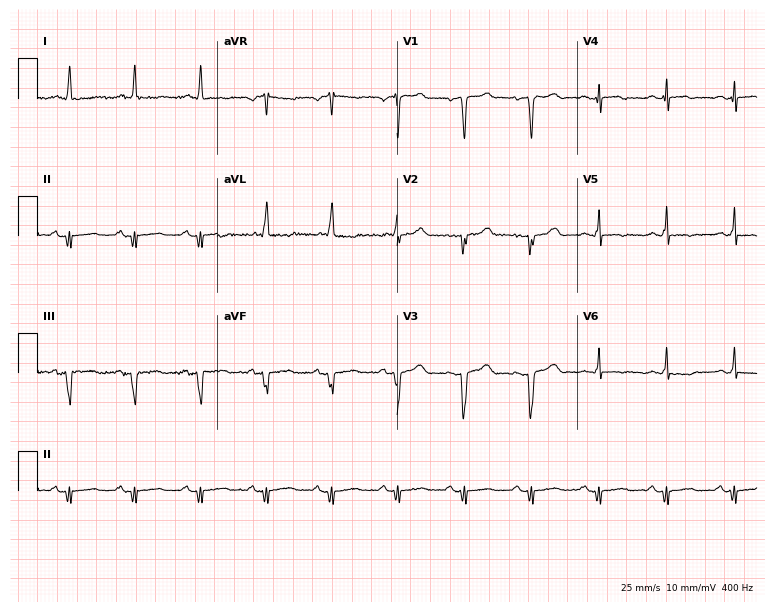
12-lead ECG from a woman, 63 years old. No first-degree AV block, right bundle branch block, left bundle branch block, sinus bradycardia, atrial fibrillation or sinus tachycardia recorded for this tracing.